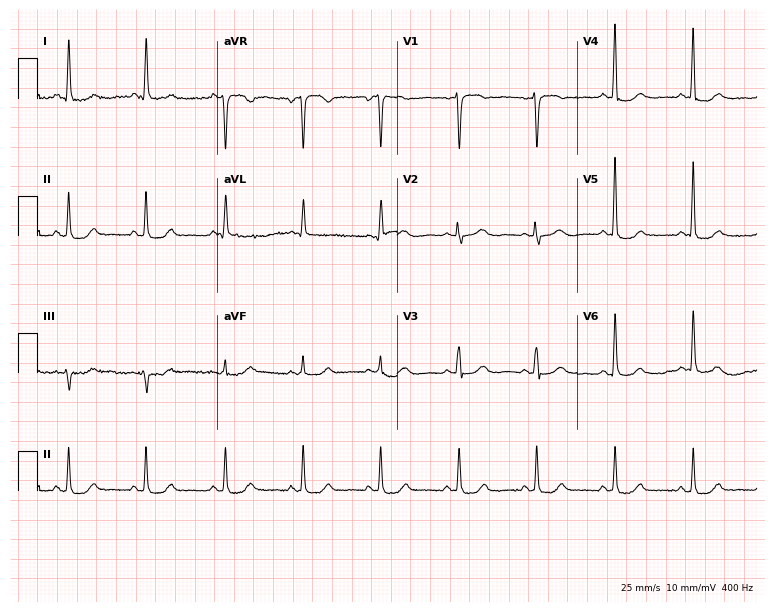
Standard 12-lead ECG recorded from a female patient, 74 years old. None of these six findings is recorded: first-degree AV block, right bundle branch block (RBBB), left bundle branch block (LBBB), sinus bradycardia, atrial fibrillation (AF), sinus tachycardia. Findings outside these six are not listed.